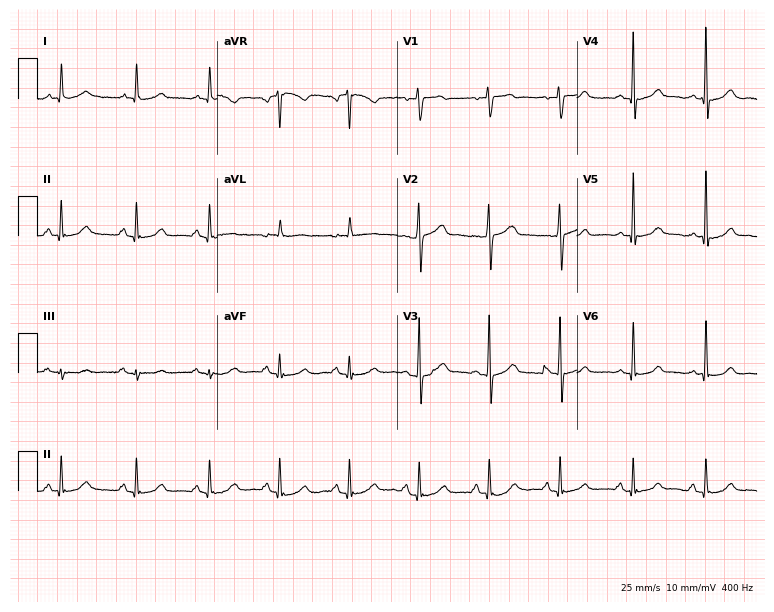
Electrocardiogram (7.3-second recording at 400 Hz), a male, 56 years old. Overall reading on record: normal ECG.